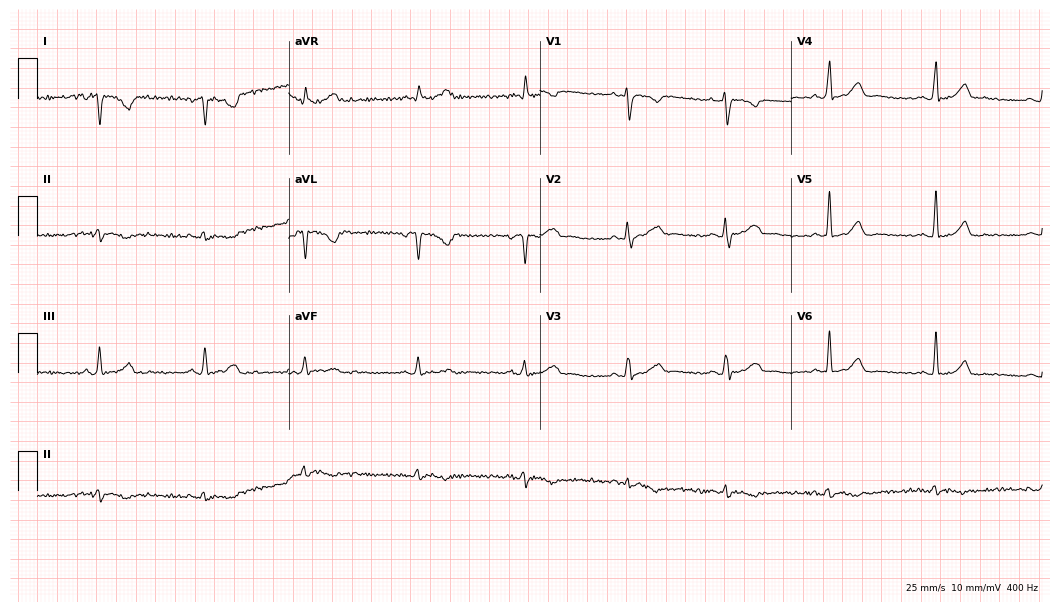
Standard 12-lead ECG recorded from a female patient, 37 years old (10.2-second recording at 400 Hz). None of these six findings is recorded: first-degree AV block, right bundle branch block, left bundle branch block, sinus bradycardia, atrial fibrillation, sinus tachycardia. Other findings, if any, are not listed.